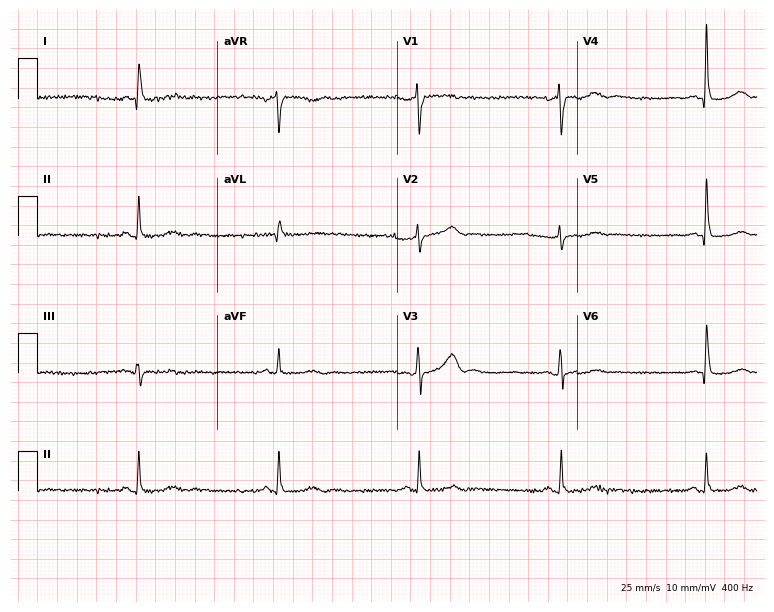
Standard 12-lead ECG recorded from a 69-year-old woman. The tracing shows sinus bradycardia (a sinus rate of 50 beats per minute or less).